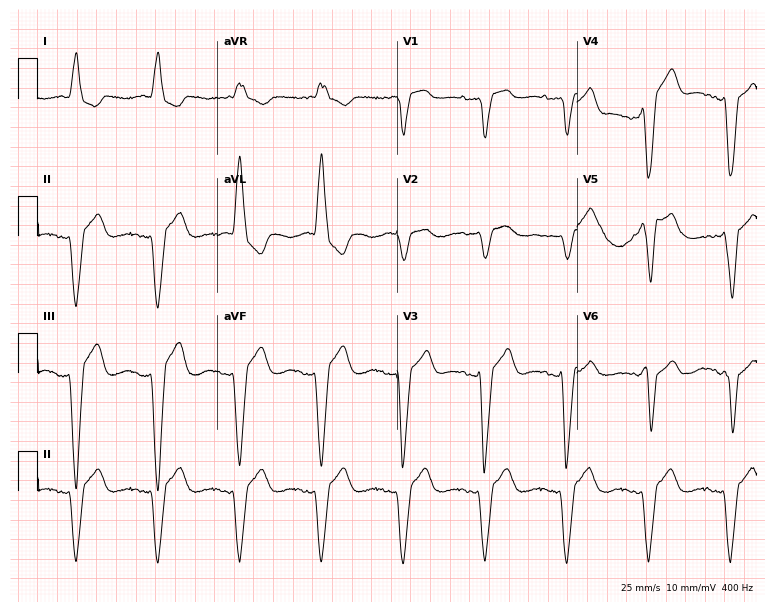
Standard 12-lead ECG recorded from a female patient, 85 years old (7.3-second recording at 400 Hz). The tracing shows left bundle branch block.